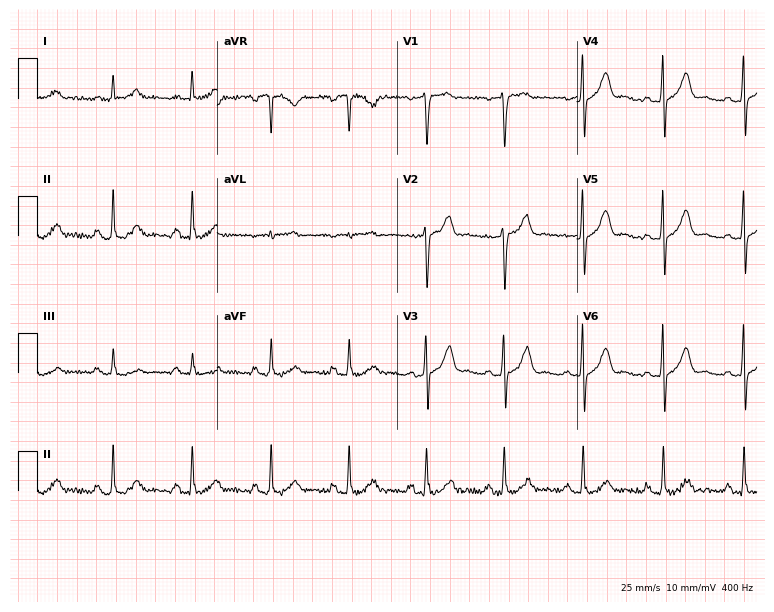
Resting 12-lead electrocardiogram (7.3-second recording at 400 Hz). Patient: a 49-year-old male. Read as a normal ECG.